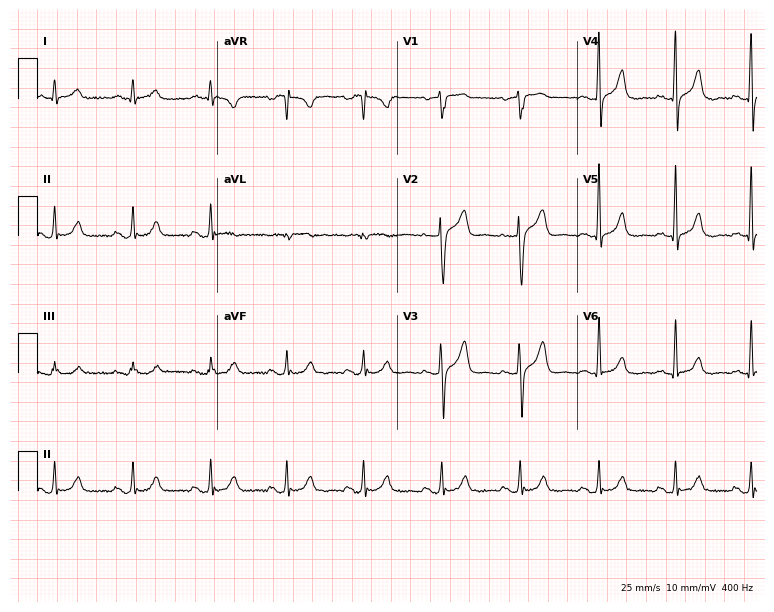
12-lead ECG (7.3-second recording at 400 Hz) from a 61-year-old male patient. Screened for six findings — first-degree AV block, right bundle branch block (RBBB), left bundle branch block (LBBB), sinus bradycardia, atrial fibrillation (AF), sinus tachycardia — none is recorded.